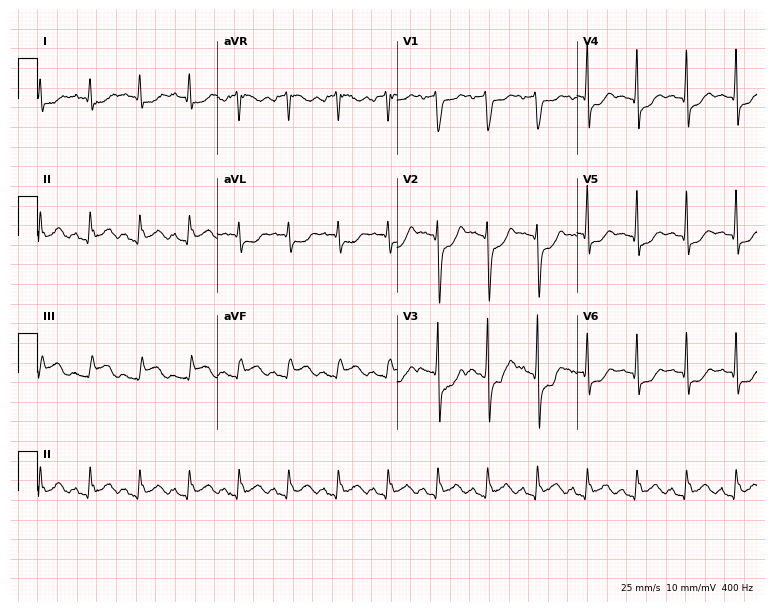
Standard 12-lead ECG recorded from a male patient, 60 years old (7.3-second recording at 400 Hz). The tracing shows sinus tachycardia (a sinus rate of 100 beats per minute or more).